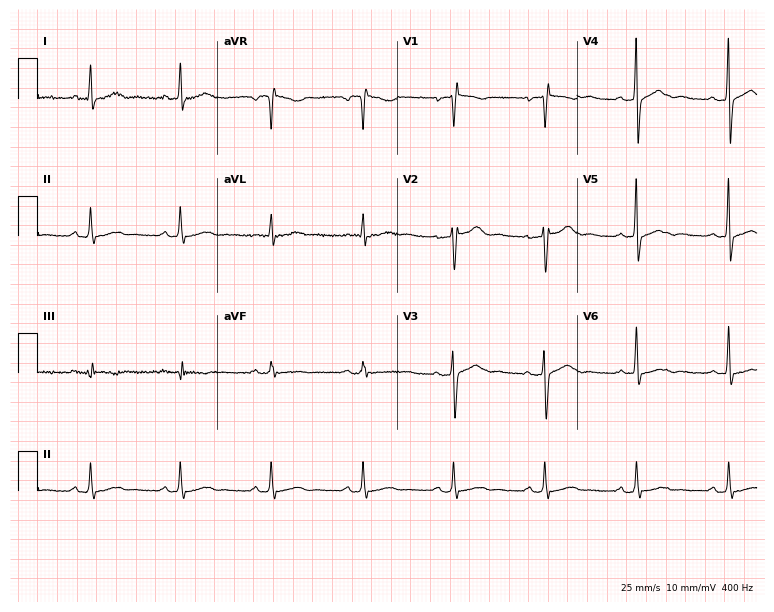
Standard 12-lead ECG recorded from a 46-year-old female. None of these six findings is recorded: first-degree AV block, right bundle branch block, left bundle branch block, sinus bradycardia, atrial fibrillation, sinus tachycardia.